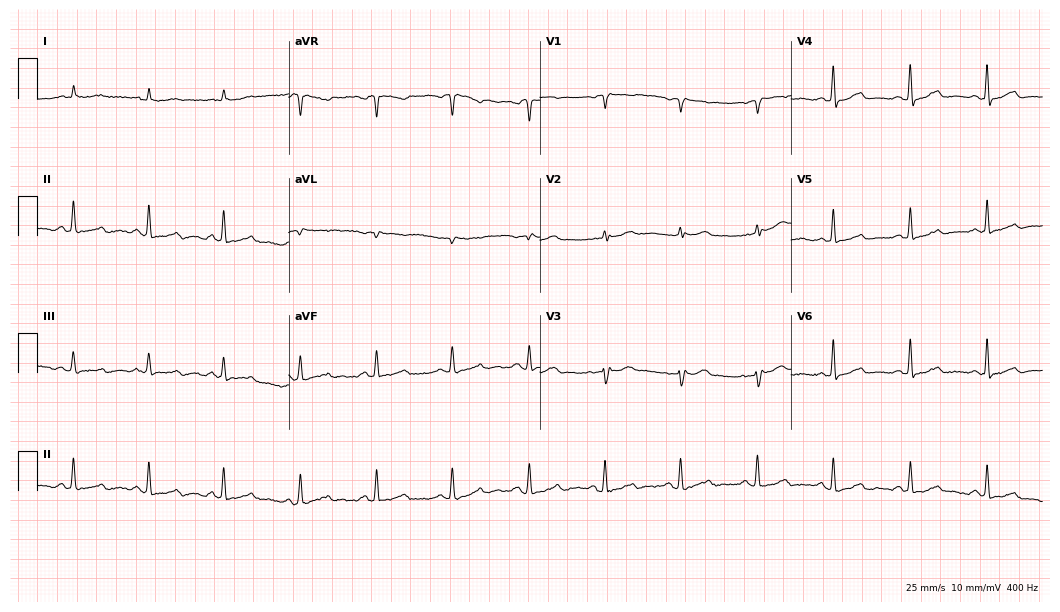
12-lead ECG (10.2-second recording at 400 Hz) from a 65-year-old female. Screened for six findings — first-degree AV block, right bundle branch block, left bundle branch block, sinus bradycardia, atrial fibrillation, sinus tachycardia — none is recorded. Only these six findings were labelled.